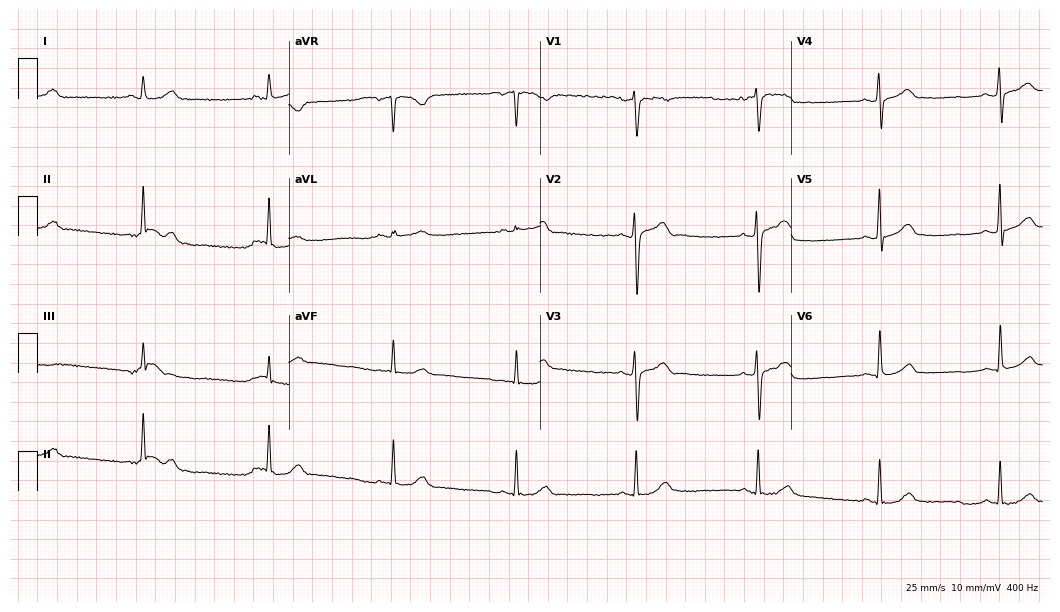
ECG — a man, 47 years old. Labelled as a normal ECG.